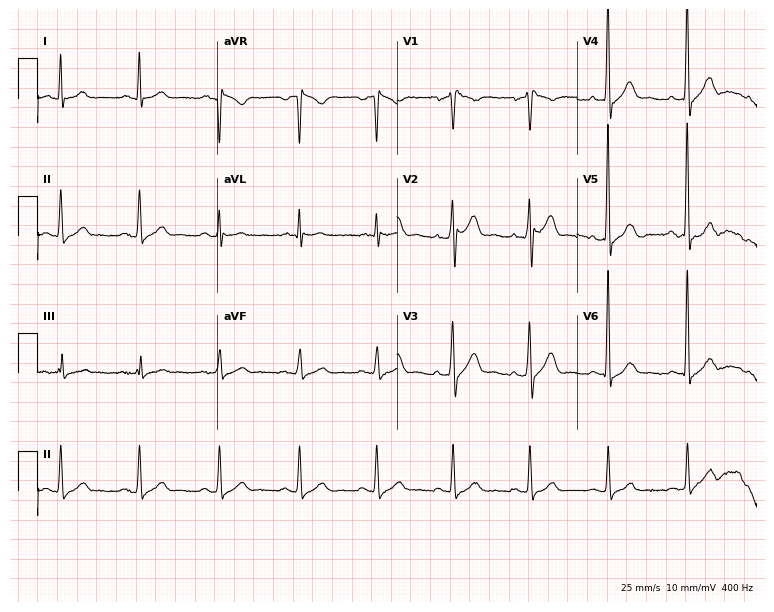
Resting 12-lead electrocardiogram. Patient: a male, 53 years old. Read as a normal ECG.